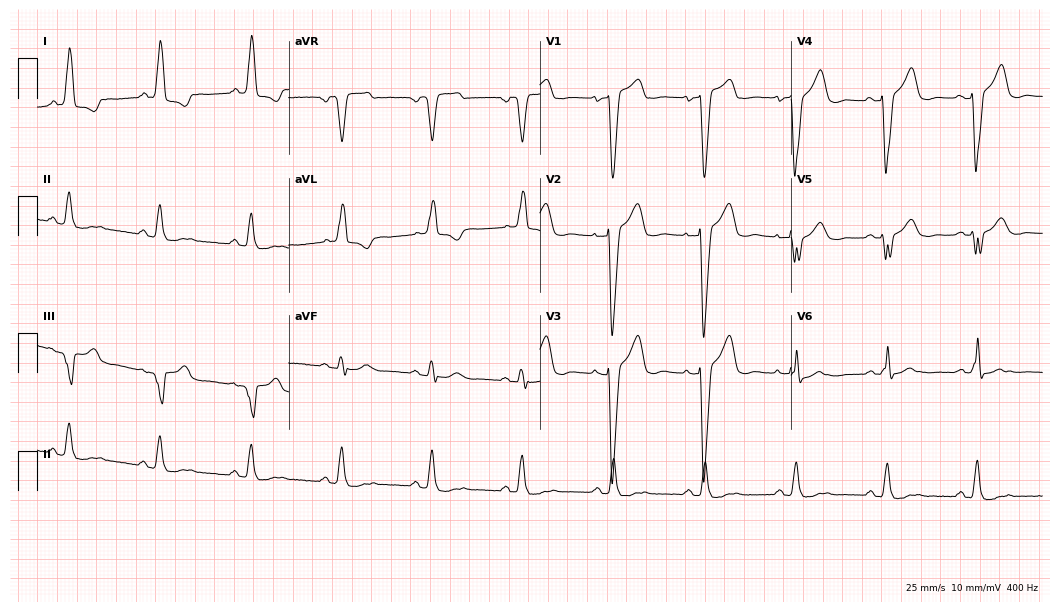
Electrocardiogram (10.2-second recording at 400 Hz), a 68-year-old female patient. Interpretation includes left bundle branch block.